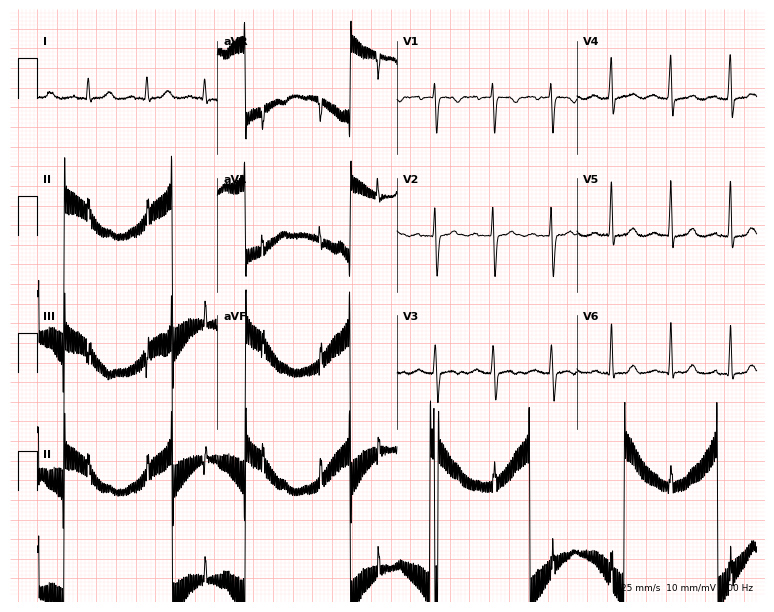
ECG — a female patient, 24 years old. Findings include atrial fibrillation, sinus tachycardia (a sinus rate of 100 beats per minute or more).